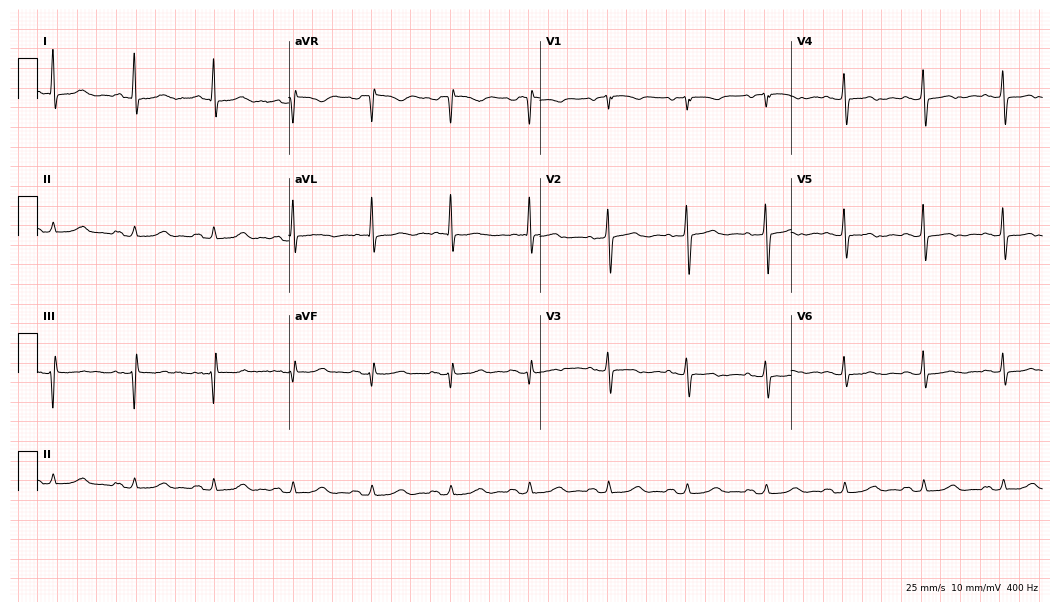
ECG (10.2-second recording at 400 Hz) — a female patient, 80 years old. Screened for six findings — first-degree AV block, right bundle branch block, left bundle branch block, sinus bradycardia, atrial fibrillation, sinus tachycardia — none is recorded. Other findings, if any, are not listed.